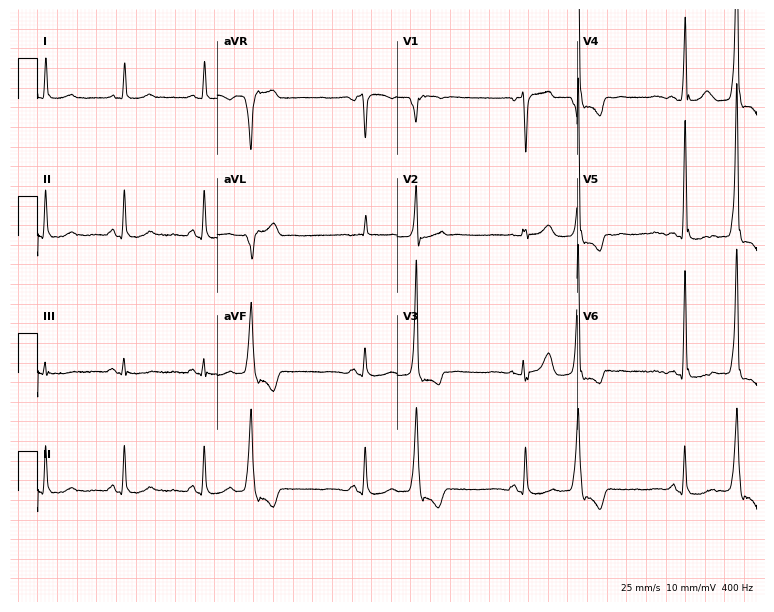
Electrocardiogram, a man, 72 years old. Of the six screened findings (first-degree AV block, right bundle branch block (RBBB), left bundle branch block (LBBB), sinus bradycardia, atrial fibrillation (AF), sinus tachycardia), none is recorded.